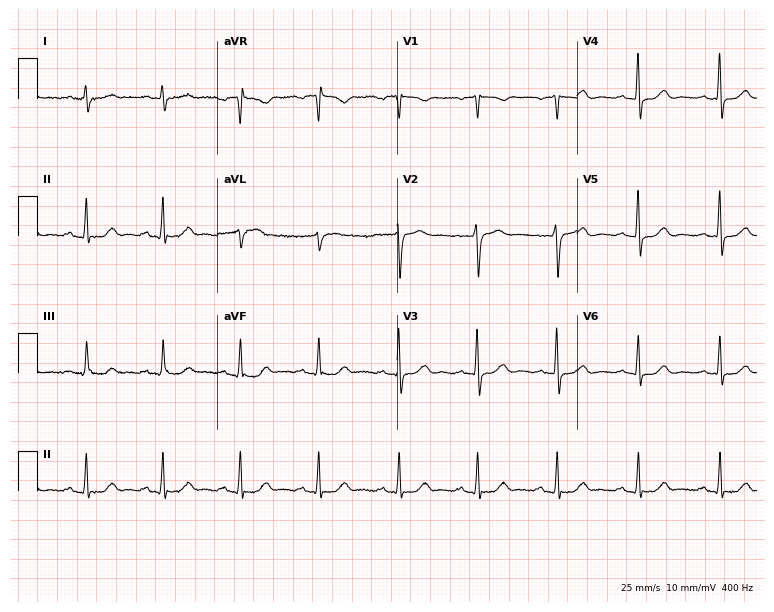
Electrocardiogram (7.3-second recording at 400 Hz), a man, 51 years old. Overall reading on record: normal ECG.